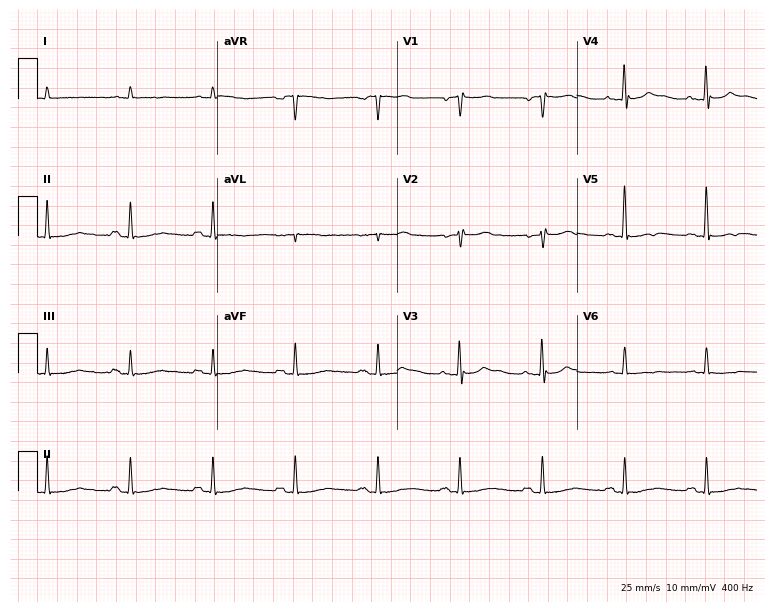
Electrocardiogram (7.3-second recording at 400 Hz), a male, 77 years old. Of the six screened findings (first-degree AV block, right bundle branch block (RBBB), left bundle branch block (LBBB), sinus bradycardia, atrial fibrillation (AF), sinus tachycardia), none is recorded.